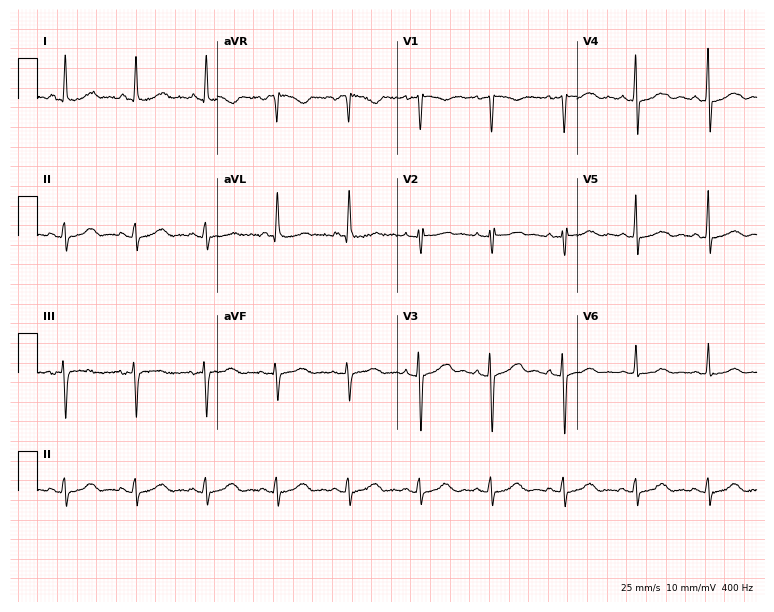
12-lead ECG from a female patient, 57 years old (7.3-second recording at 400 Hz). No first-degree AV block, right bundle branch block (RBBB), left bundle branch block (LBBB), sinus bradycardia, atrial fibrillation (AF) or sinus tachycardia recorded for this tracing.